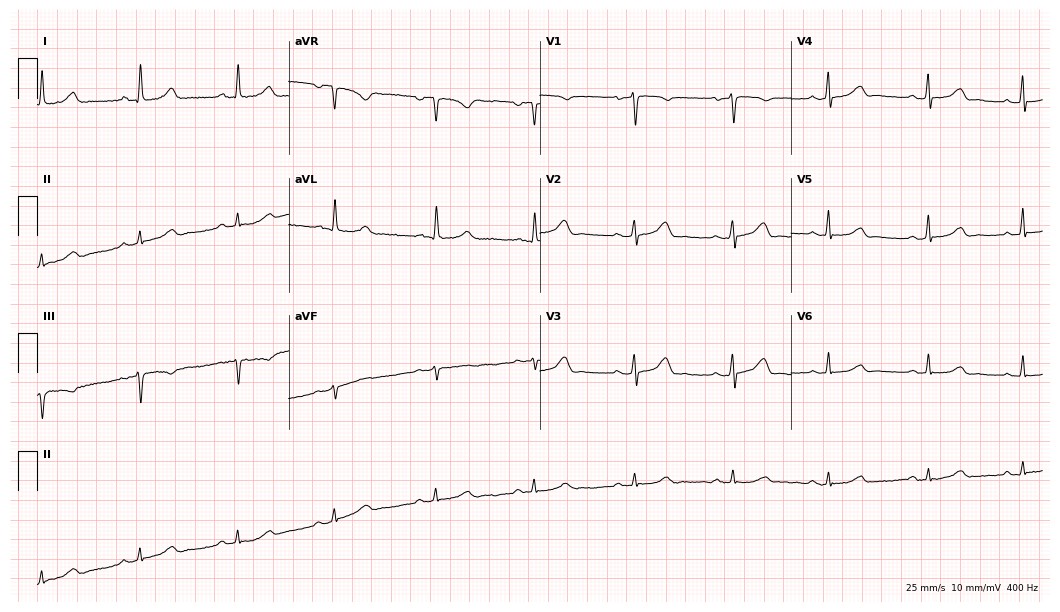
12-lead ECG (10.2-second recording at 400 Hz) from a 56-year-old female. Screened for six findings — first-degree AV block, right bundle branch block, left bundle branch block, sinus bradycardia, atrial fibrillation, sinus tachycardia — none is recorded. Findings outside these six are not listed.